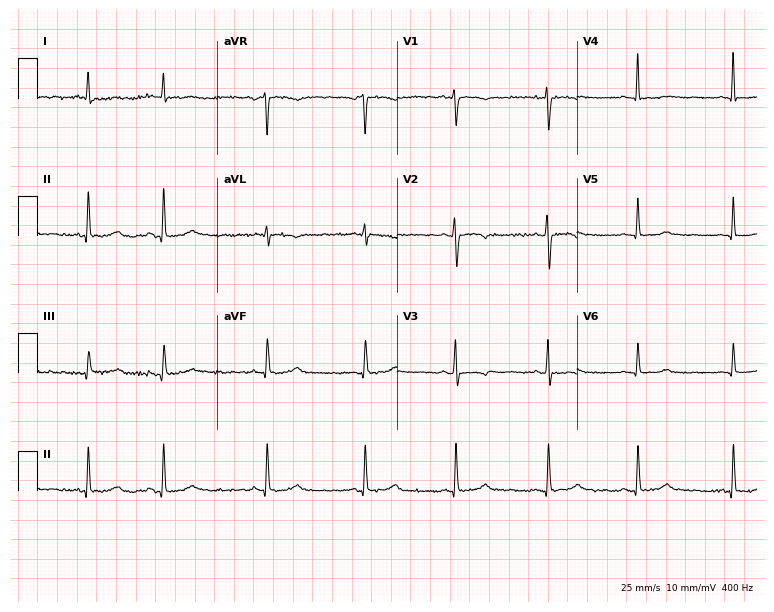
ECG — a woman, 59 years old. Screened for six findings — first-degree AV block, right bundle branch block (RBBB), left bundle branch block (LBBB), sinus bradycardia, atrial fibrillation (AF), sinus tachycardia — none is recorded. Other findings, if any, are not listed.